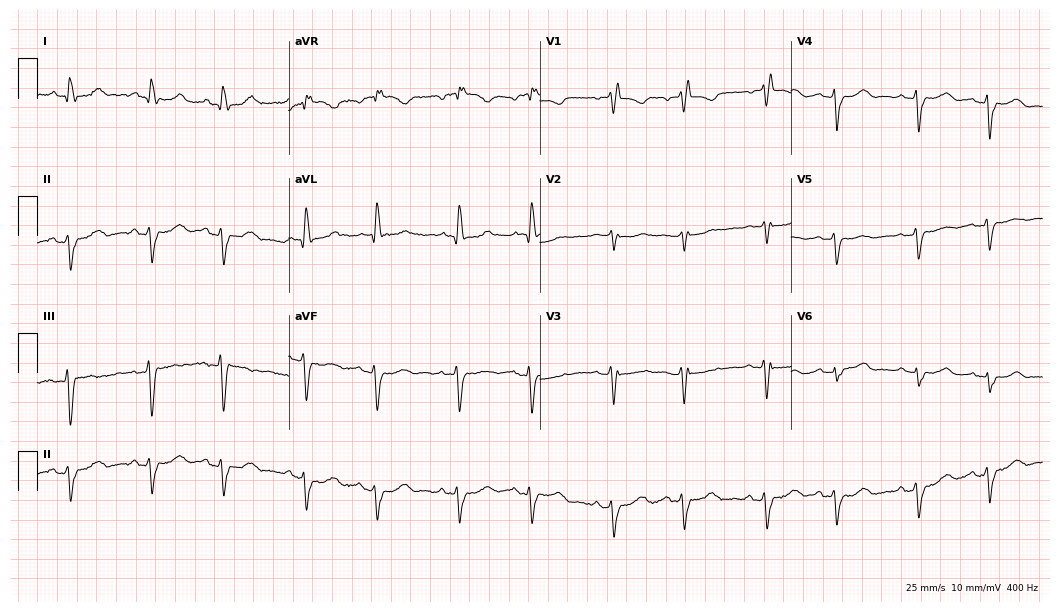
Electrocardiogram, a 76-year-old female. Interpretation includes right bundle branch block.